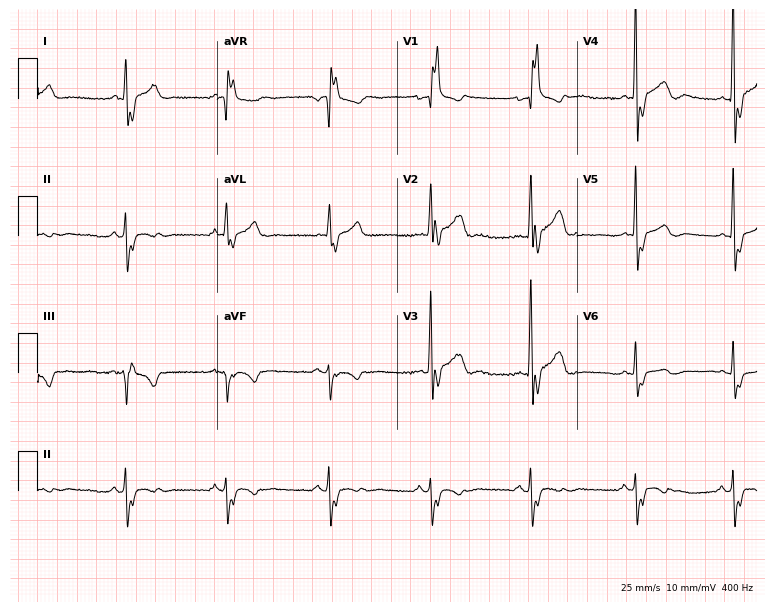
Electrocardiogram, a 57-year-old man. Interpretation includes right bundle branch block (RBBB).